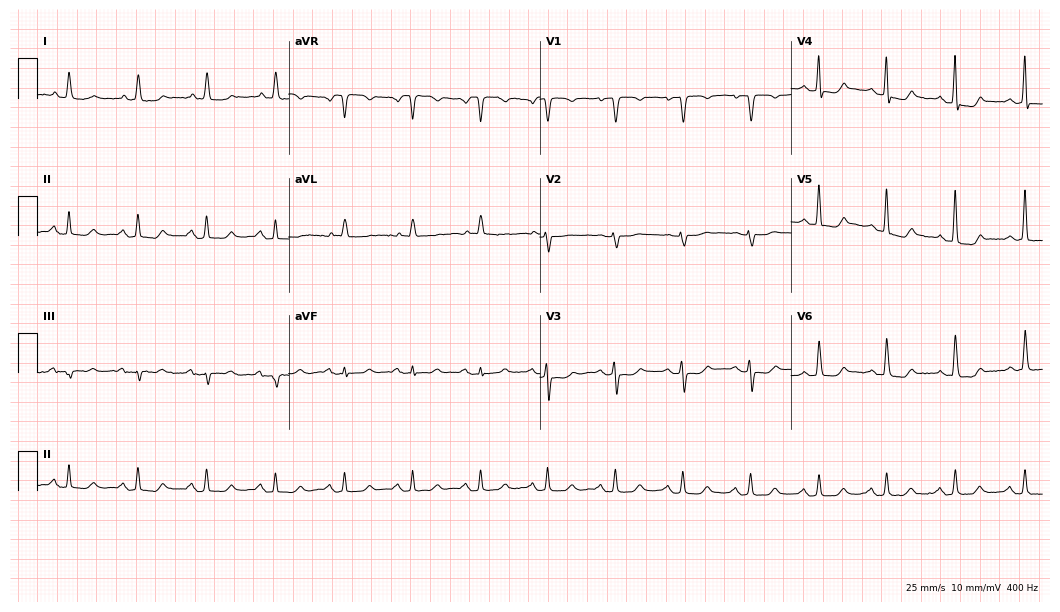
12-lead ECG (10.2-second recording at 400 Hz) from a woman, 63 years old. Screened for six findings — first-degree AV block, right bundle branch block, left bundle branch block, sinus bradycardia, atrial fibrillation, sinus tachycardia — none is recorded. Findings outside these six are not listed.